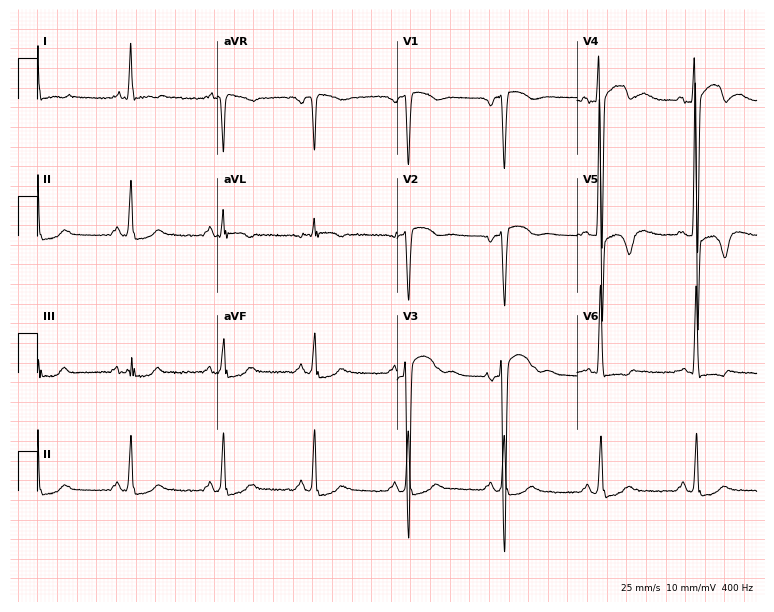
ECG — a 59-year-old male. Screened for six findings — first-degree AV block, right bundle branch block, left bundle branch block, sinus bradycardia, atrial fibrillation, sinus tachycardia — none is recorded.